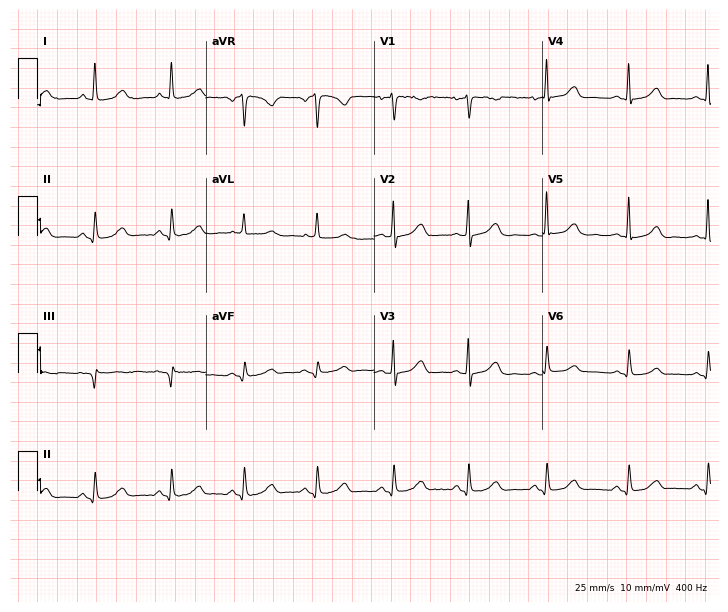
Electrocardiogram, a 41-year-old female patient. Of the six screened findings (first-degree AV block, right bundle branch block, left bundle branch block, sinus bradycardia, atrial fibrillation, sinus tachycardia), none is recorded. Other findings, if any, are not listed.